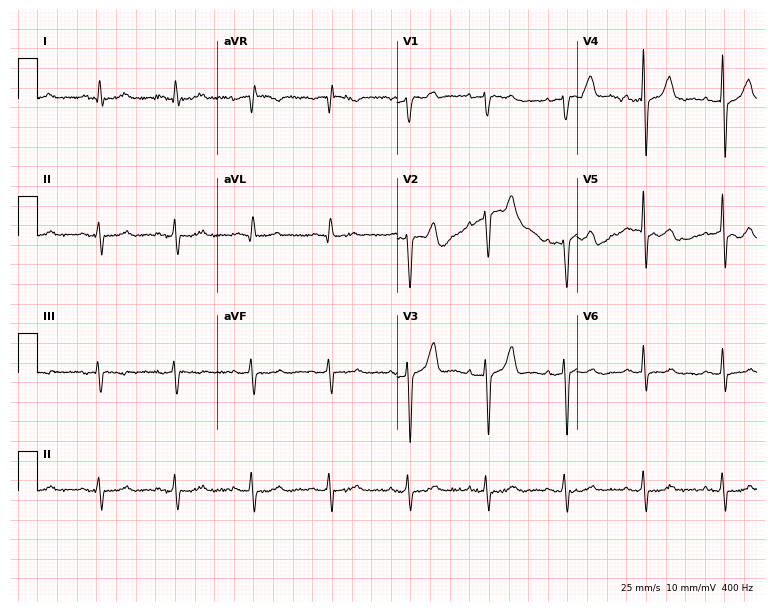
Resting 12-lead electrocardiogram. Patient: a 78-year-old male. None of these six findings is recorded: first-degree AV block, right bundle branch block, left bundle branch block, sinus bradycardia, atrial fibrillation, sinus tachycardia. Other findings, if any, are not listed.